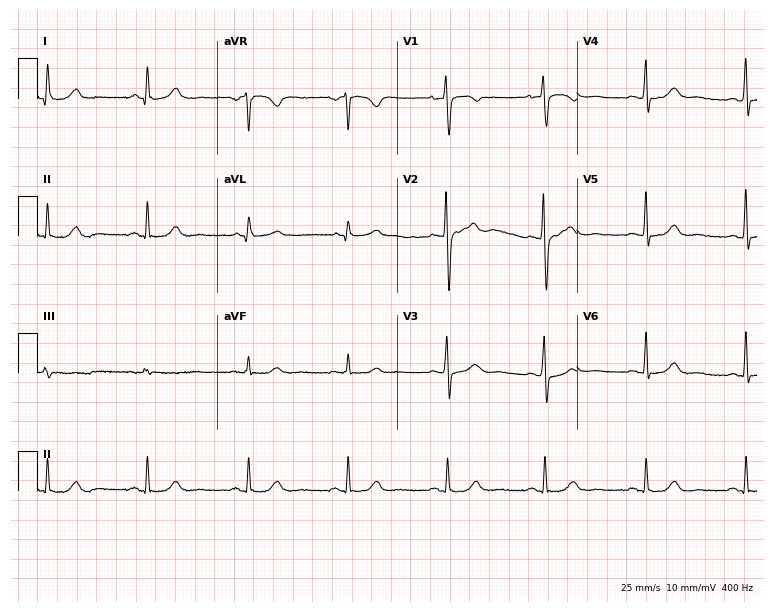
Standard 12-lead ECG recorded from a woman, 48 years old. None of these six findings is recorded: first-degree AV block, right bundle branch block, left bundle branch block, sinus bradycardia, atrial fibrillation, sinus tachycardia.